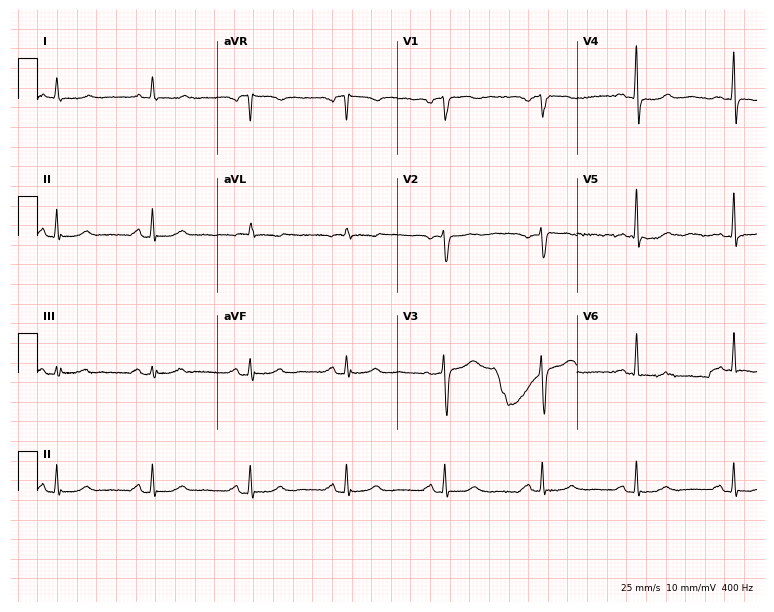
Electrocardiogram (7.3-second recording at 400 Hz), a female, 73 years old. Overall reading on record: normal ECG.